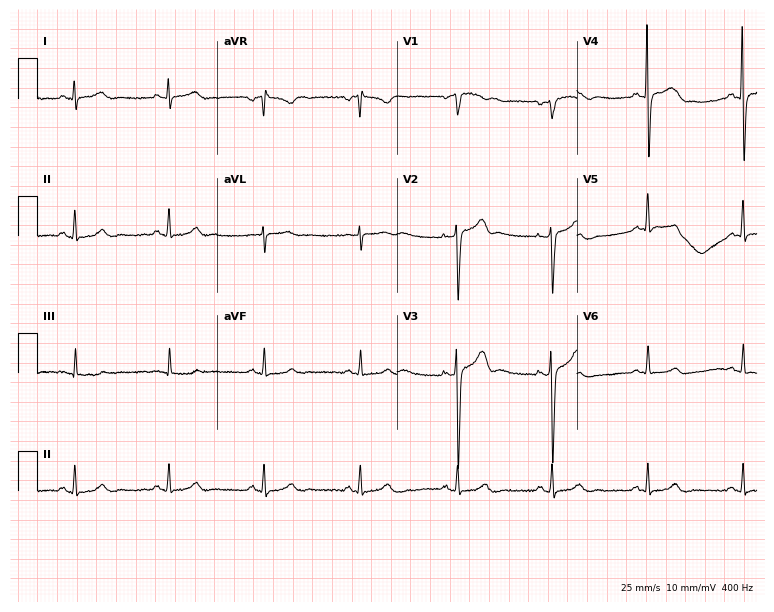
12-lead ECG (7.3-second recording at 400 Hz) from a male patient, 57 years old. Screened for six findings — first-degree AV block, right bundle branch block (RBBB), left bundle branch block (LBBB), sinus bradycardia, atrial fibrillation (AF), sinus tachycardia — none is recorded.